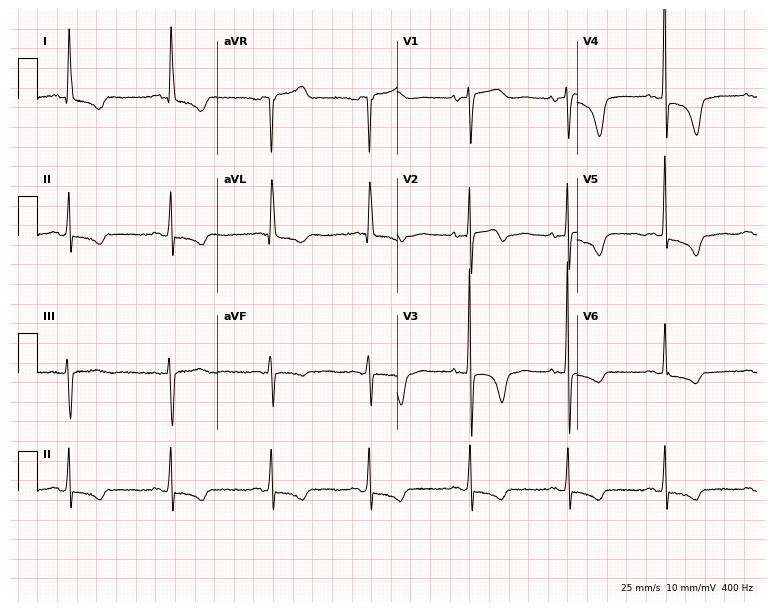
Standard 12-lead ECG recorded from a female, 74 years old (7.3-second recording at 400 Hz). None of these six findings is recorded: first-degree AV block, right bundle branch block, left bundle branch block, sinus bradycardia, atrial fibrillation, sinus tachycardia.